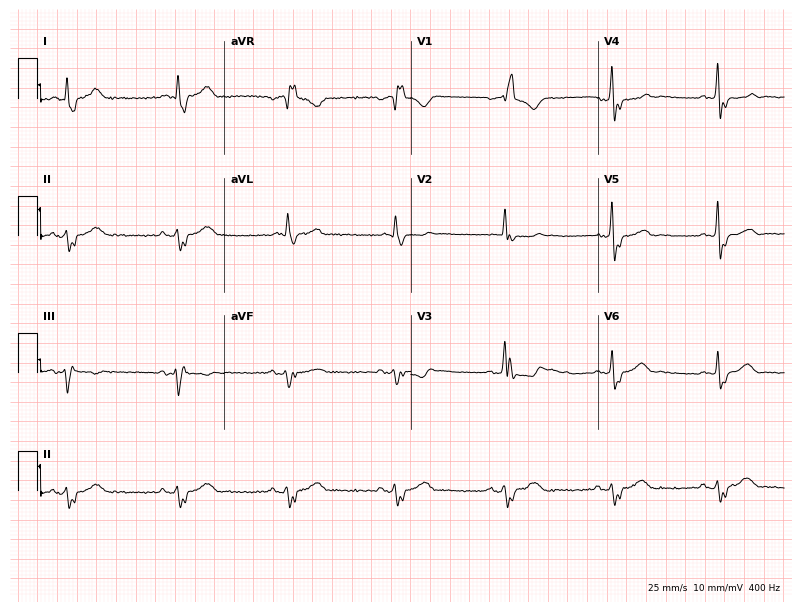
ECG — a male patient, 83 years old. Screened for six findings — first-degree AV block, right bundle branch block, left bundle branch block, sinus bradycardia, atrial fibrillation, sinus tachycardia — none is recorded. Other findings, if any, are not listed.